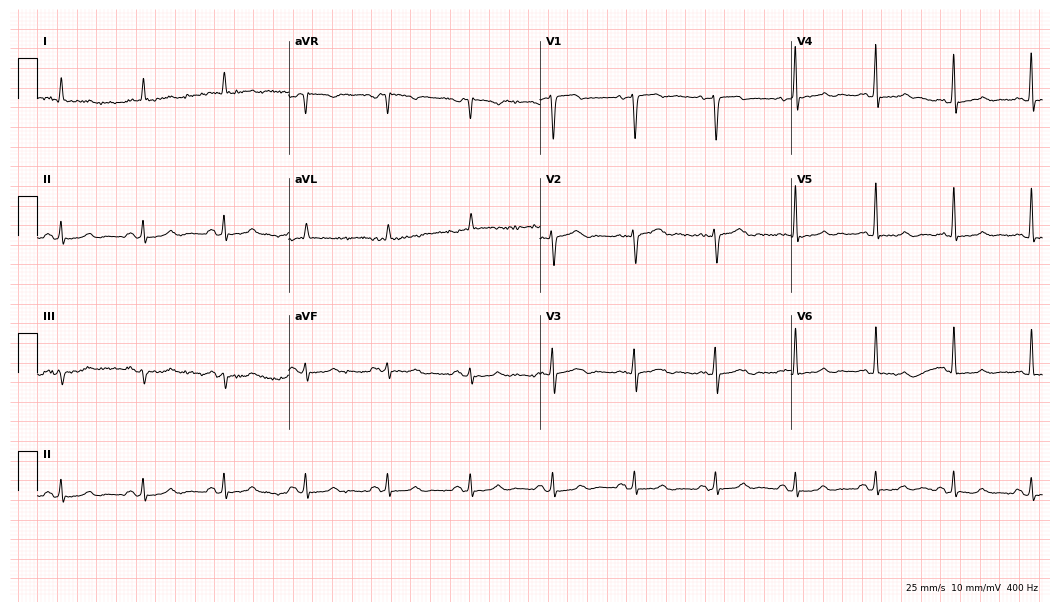
ECG (10.2-second recording at 400 Hz) — a 73-year-old man. Screened for six findings — first-degree AV block, right bundle branch block, left bundle branch block, sinus bradycardia, atrial fibrillation, sinus tachycardia — none is recorded.